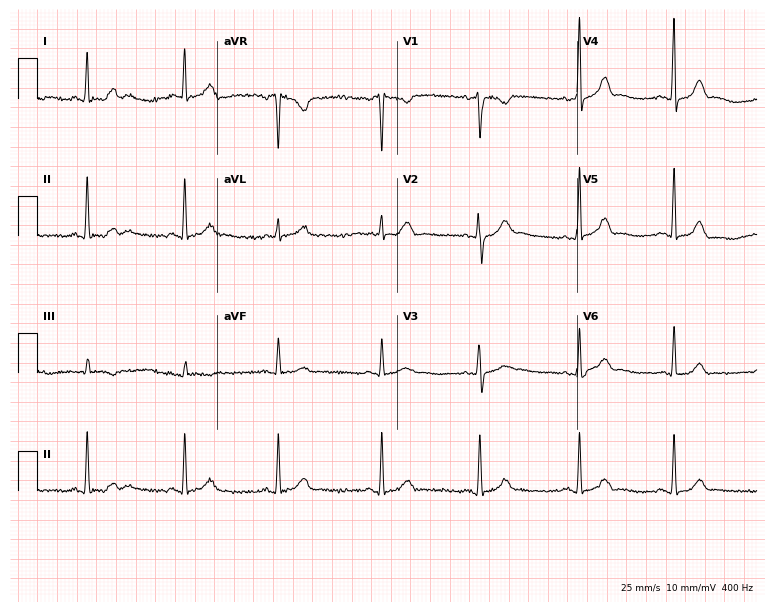
12-lead ECG from a female patient, 25 years old. Recorded interpretation: within normal limits.